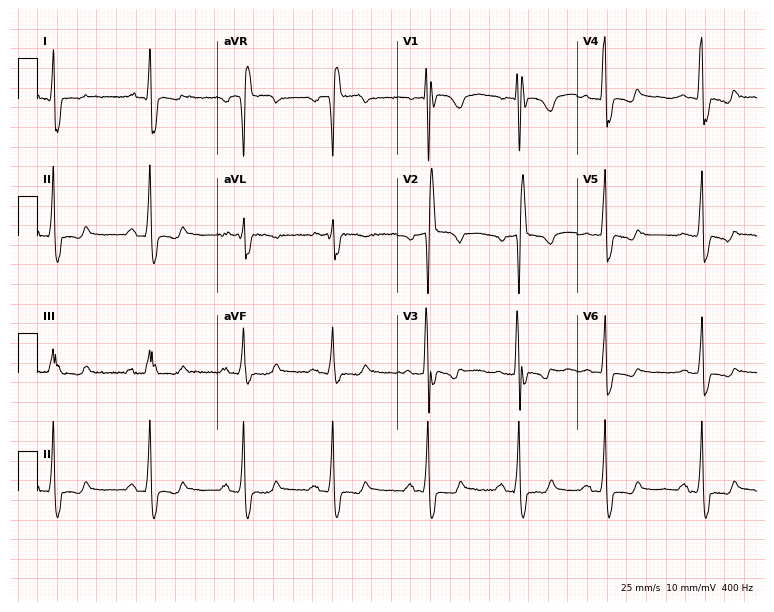
Electrocardiogram (7.3-second recording at 400 Hz), a male patient, 69 years old. Interpretation includes right bundle branch block (RBBB).